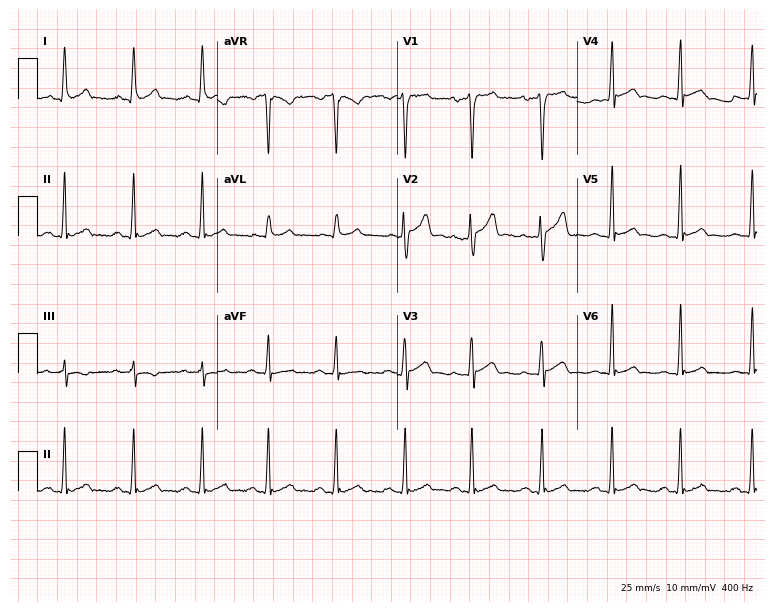
Resting 12-lead electrocardiogram (7.3-second recording at 400 Hz). Patient: a 29-year-old man. Read as a normal ECG.